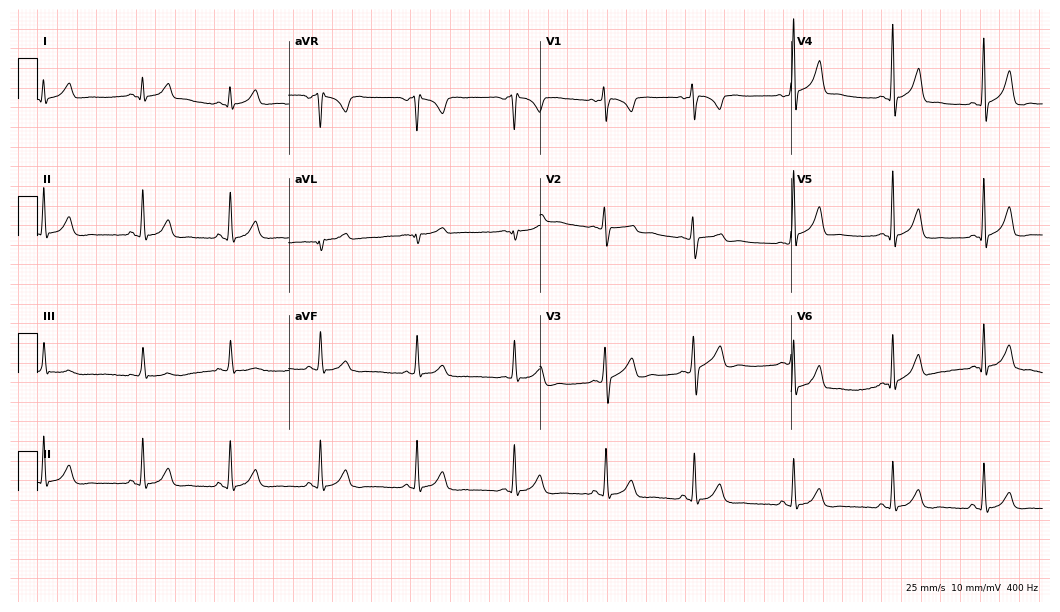
ECG — a 17-year-old female. Screened for six findings — first-degree AV block, right bundle branch block (RBBB), left bundle branch block (LBBB), sinus bradycardia, atrial fibrillation (AF), sinus tachycardia — none is recorded. Findings outside these six are not listed.